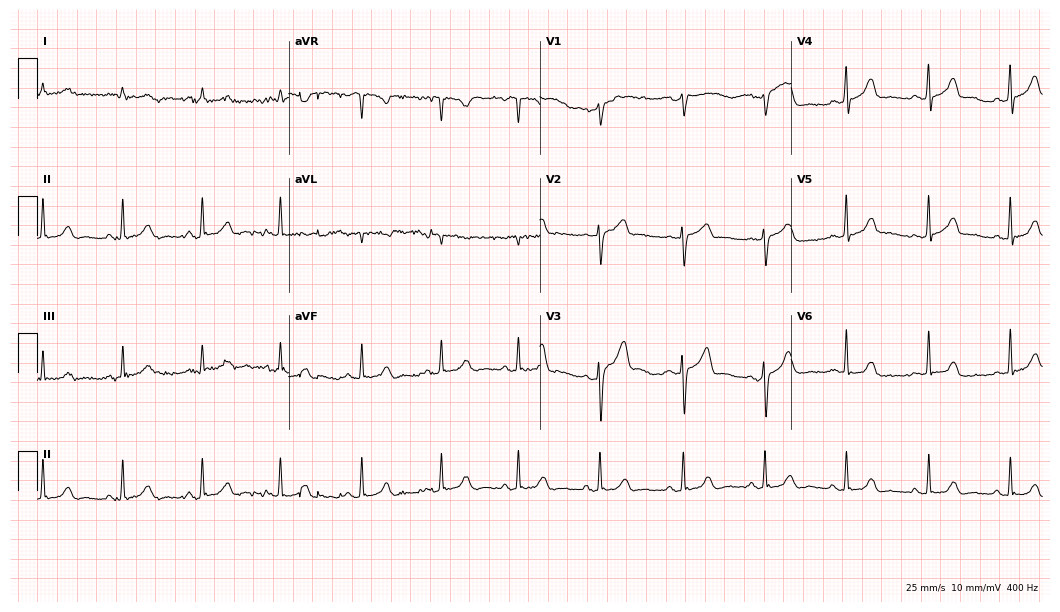
Resting 12-lead electrocardiogram. Patient: a 67-year-old female. None of these six findings is recorded: first-degree AV block, right bundle branch block, left bundle branch block, sinus bradycardia, atrial fibrillation, sinus tachycardia. Other findings, if any, are not listed.